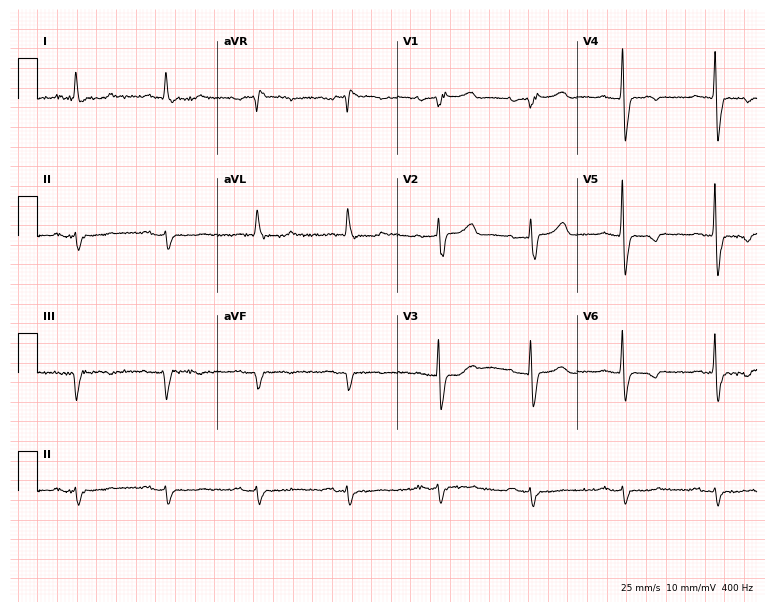
Resting 12-lead electrocardiogram. Patient: a man, 81 years old. None of these six findings is recorded: first-degree AV block, right bundle branch block, left bundle branch block, sinus bradycardia, atrial fibrillation, sinus tachycardia.